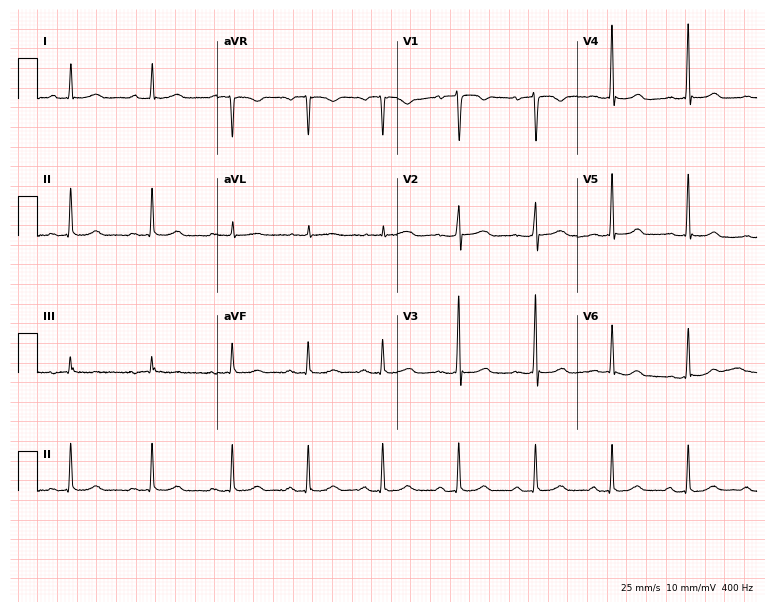
Electrocardiogram, a female, 27 years old. Overall reading on record: normal ECG.